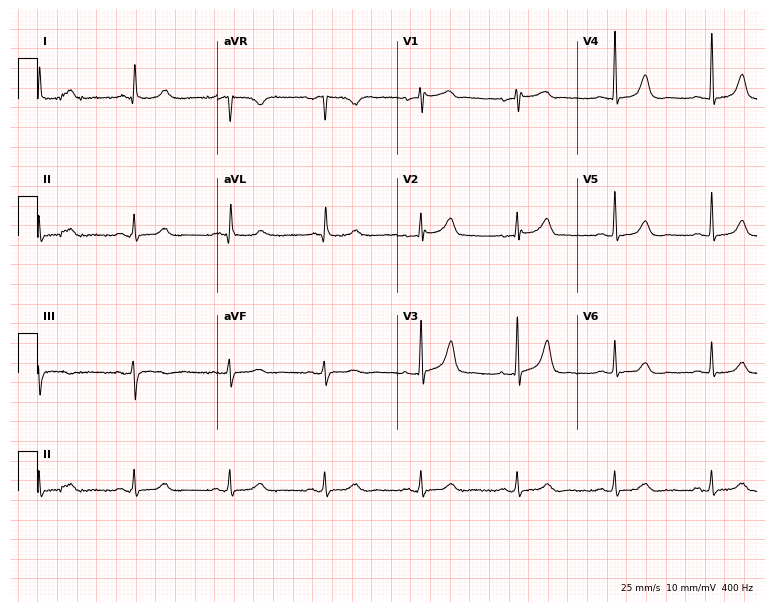
Resting 12-lead electrocardiogram. Patient: a female, 79 years old. Read as a normal ECG.